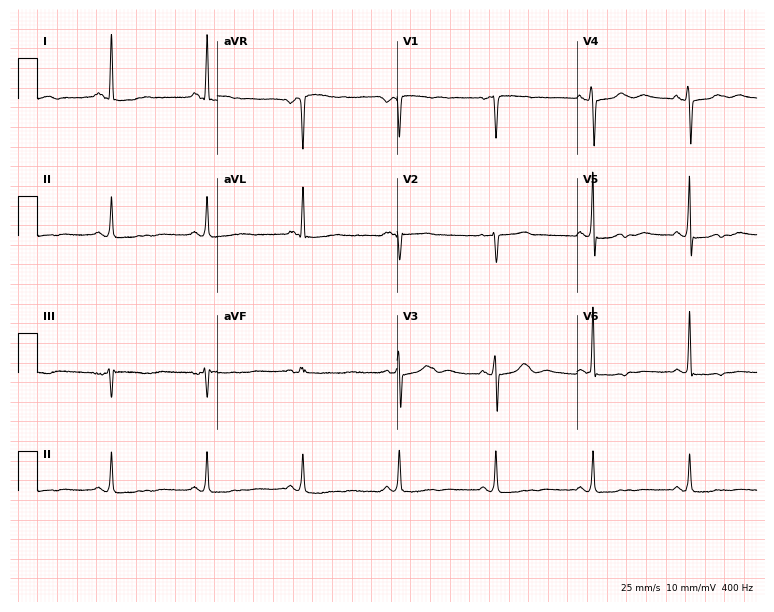
12-lead ECG from a female patient, 77 years old. Screened for six findings — first-degree AV block, right bundle branch block, left bundle branch block, sinus bradycardia, atrial fibrillation, sinus tachycardia — none is recorded. Other findings, if any, are not listed.